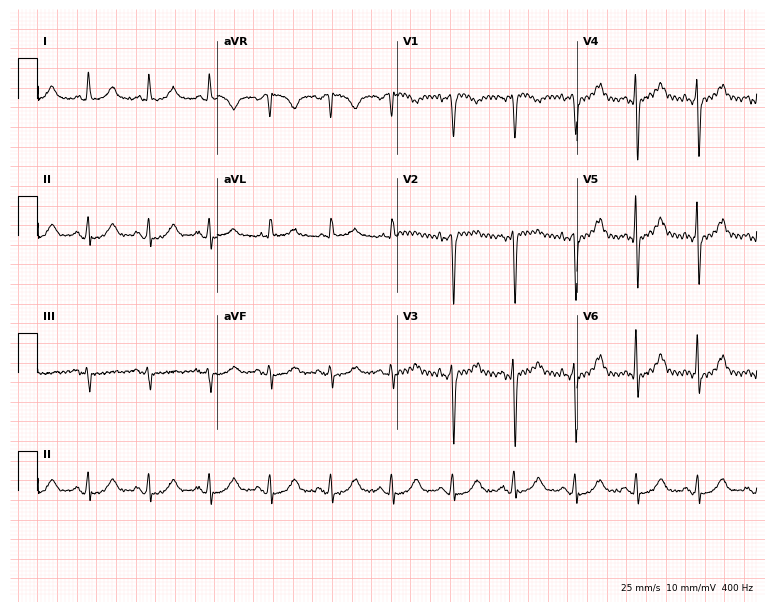
Electrocardiogram (7.3-second recording at 400 Hz), a female patient, 77 years old. Of the six screened findings (first-degree AV block, right bundle branch block, left bundle branch block, sinus bradycardia, atrial fibrillation, sinus tachycardia), none is recorded. Findings outside these six are not listed.